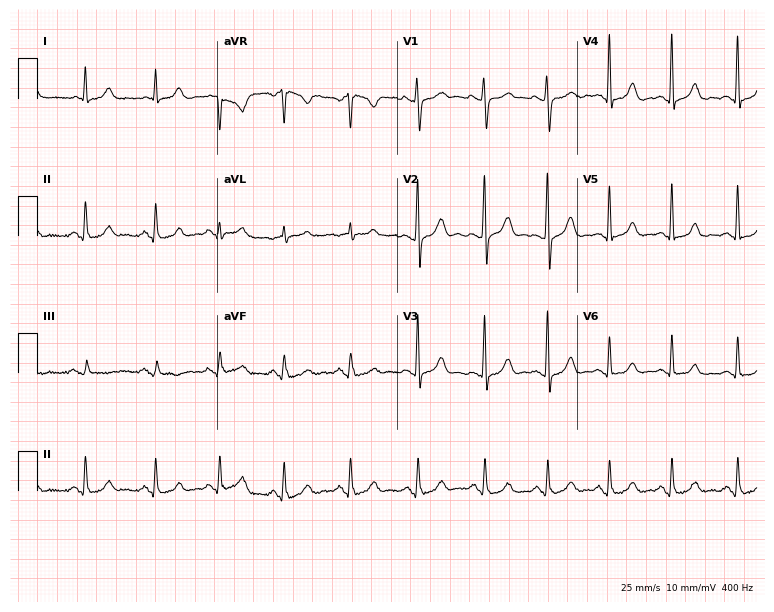
12-lead ECG from a 43-year-old male patient. Recorded interpretation: within normal limits.